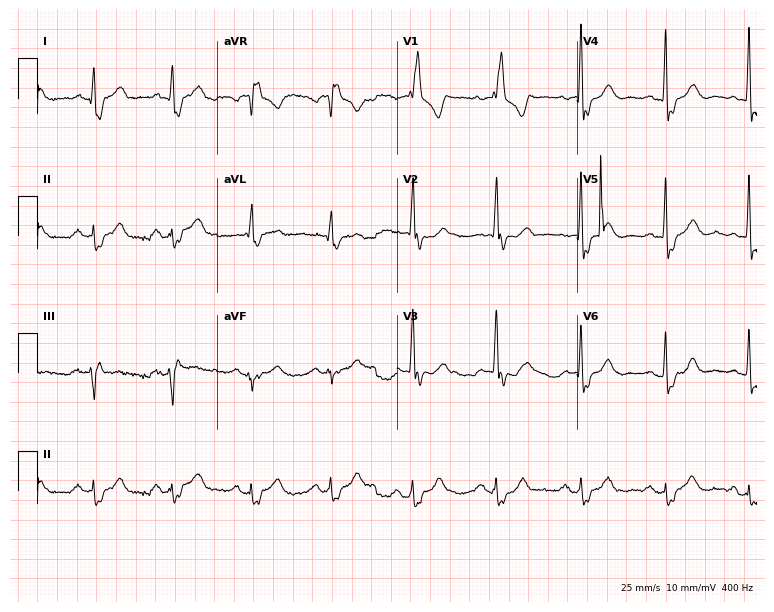
Electrocardiogram (7.3-second recording at 400 Hz), a woman, 83 years old. Interpretation includes right bundle branch block.